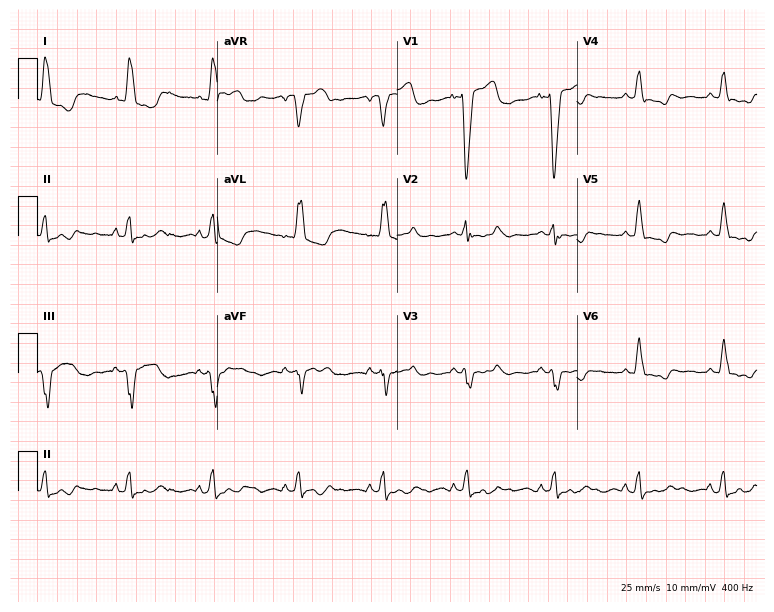
Electrocardiogram (7.3-second recording at 400 Hz), a 70-year-old female patient. Interpretation includes left bundle branch block.